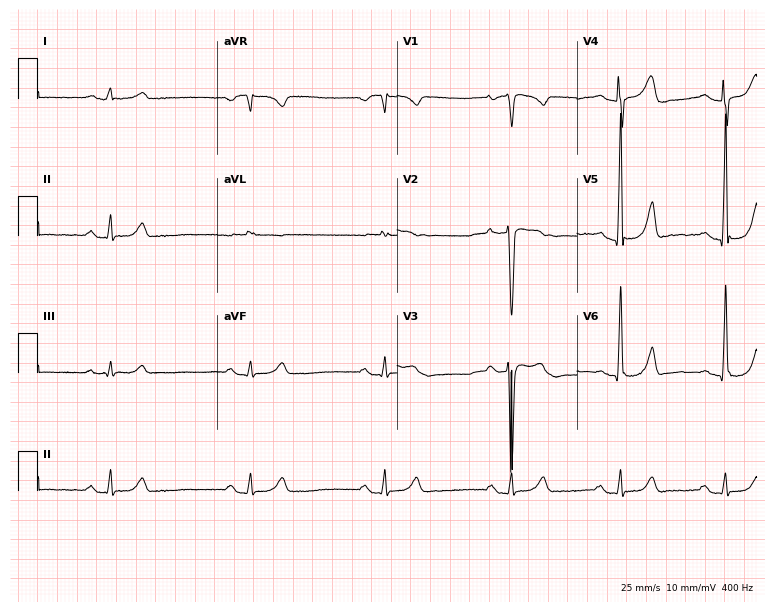
Electrocardiogram (7.3-second recording at 400 Hz), a male patient, 35 years old. Interpretation includes first-degree AV block, sinus bradycardia (a sinus rate of 50 beats per minute or less).